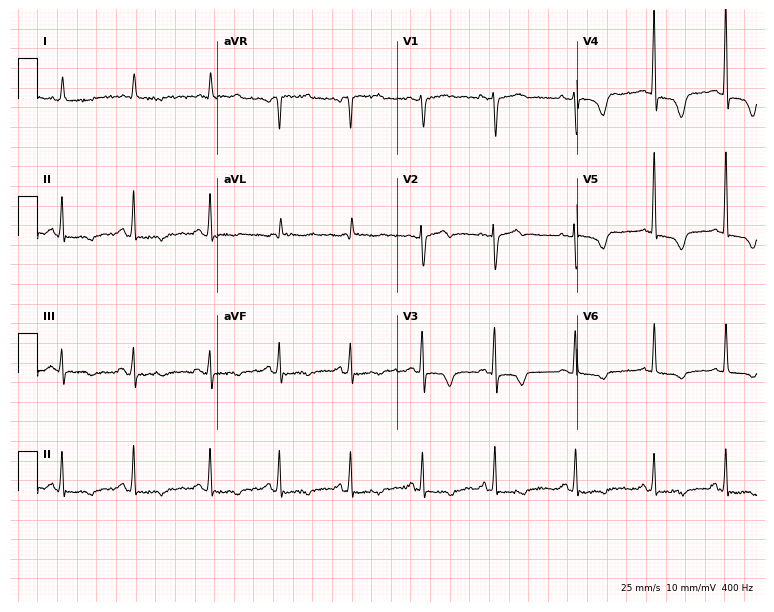
12-lead ECG (7.3-second recording at 400 Hz) from a female patient, 84 years old. Screened for six findings — first-degree AV block, right bundle branch block, left bundle branch block, sinus bradycardia, atrial fibrillation, sinus tachycardia — none is recorded.